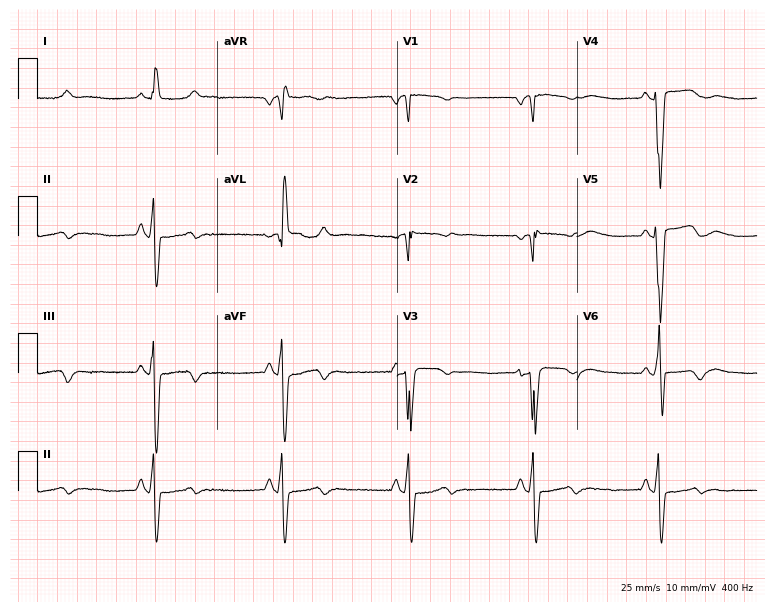
Standard 12-lead ECG recorded from a 79-year-old female patient. The tracing shows left bundle branch block (LBBB), sinus bradycardia (a sinus rate of 50 beats per minute or less).